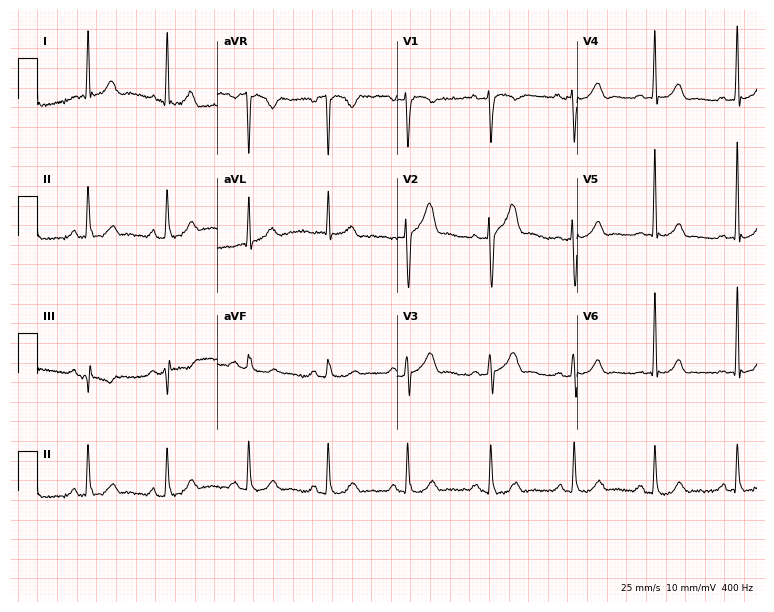
Electrocardiogram, a 66-year-old male. Overall reading on record: normal ECG.